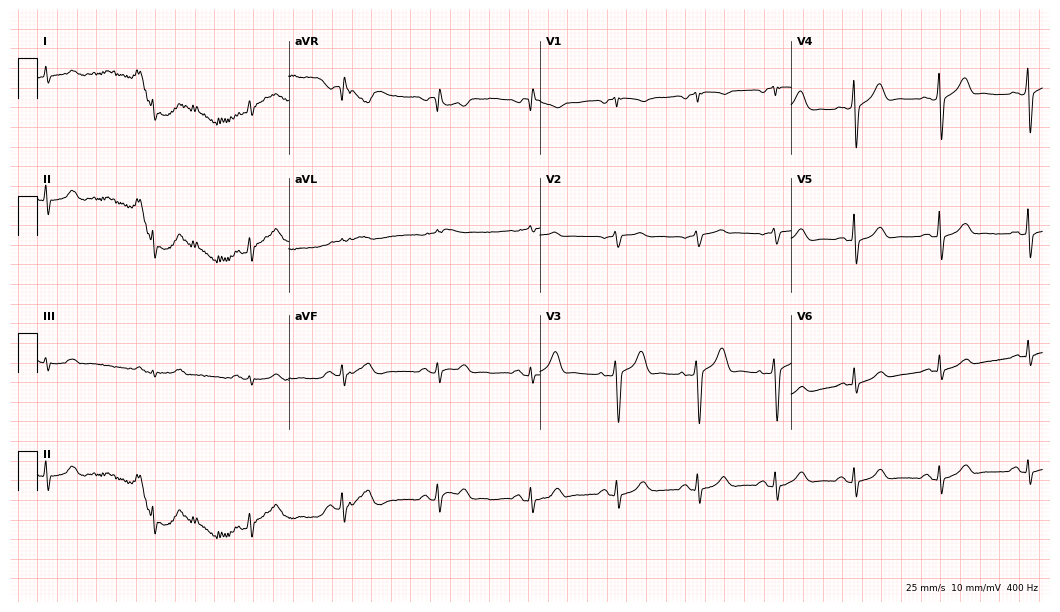
Electrocardiogram, a male patient, 69 years old. Overall reading on record: normal ECG.